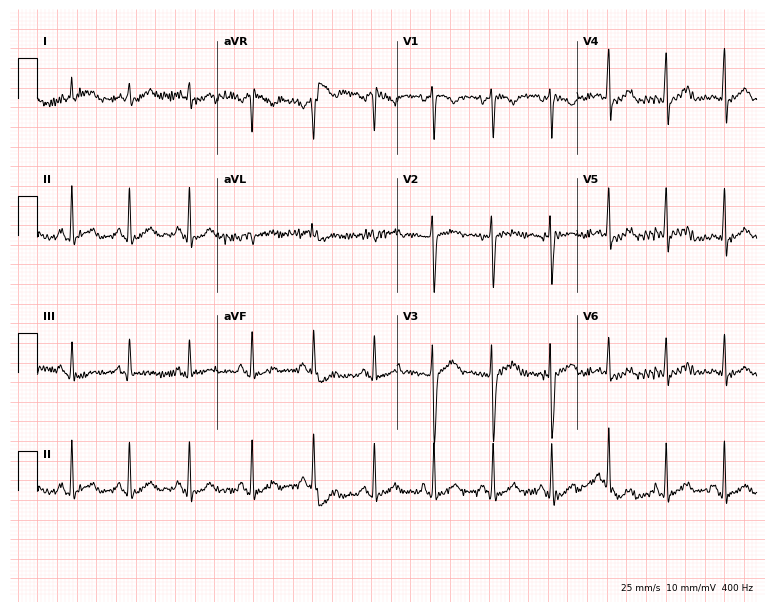
Resting 12-lead electrocardiogram. Patient: a man, 22 years old. None of these six findings is recorded: first-degree AV block, right bundle branch block (RBBB), left bundle branch block (LBBB), sinus bradycardia, atrial fibrillation (AF), sinus tachycardia. Only these six findings were labelled.